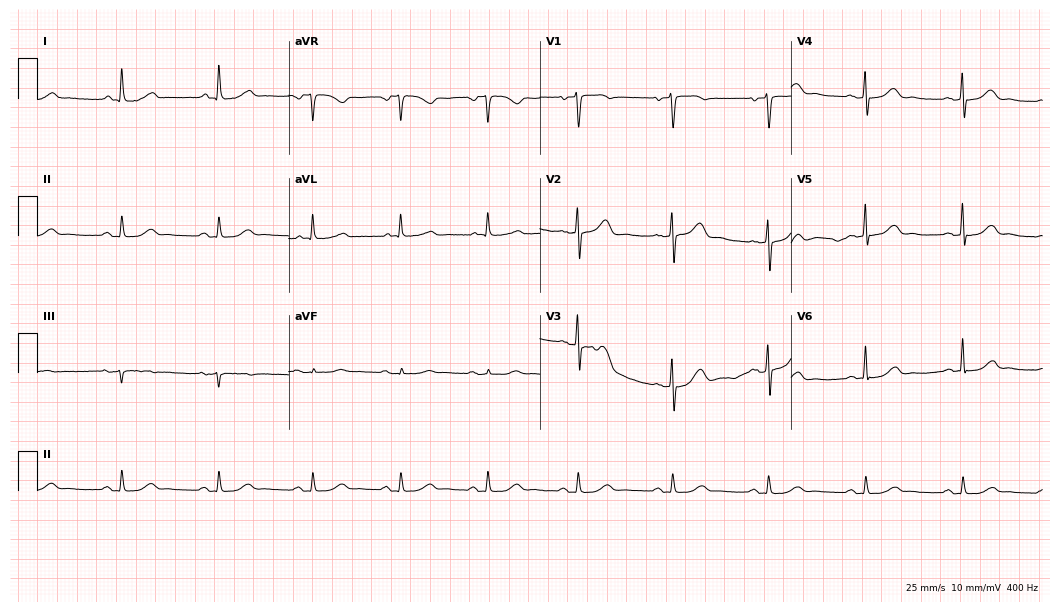
Resting 12-lead electrocardiogram (10.2-second recording at 400 Hz). Patient: a female, 62 years old. Read as a normal ECG.